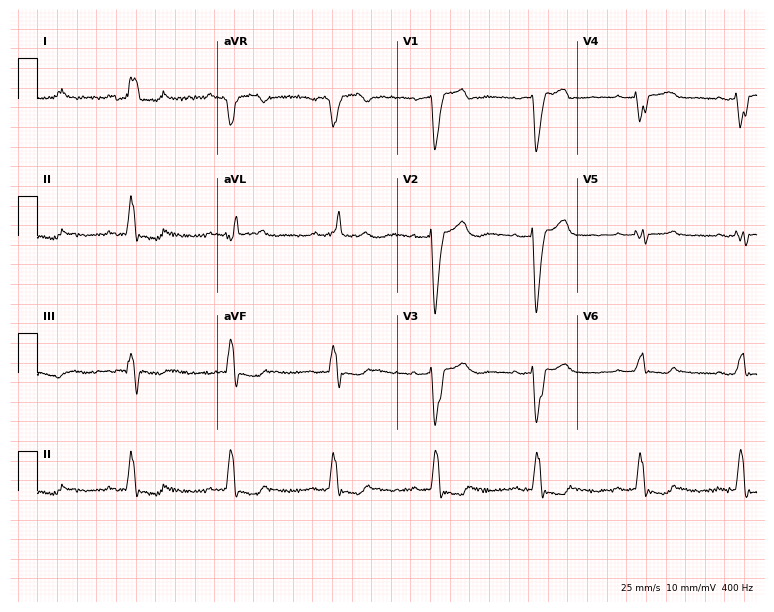
Resting 12-lead electrocardiogram. Patient: a 79-year-old female. The tracing shows left bundle branch block.